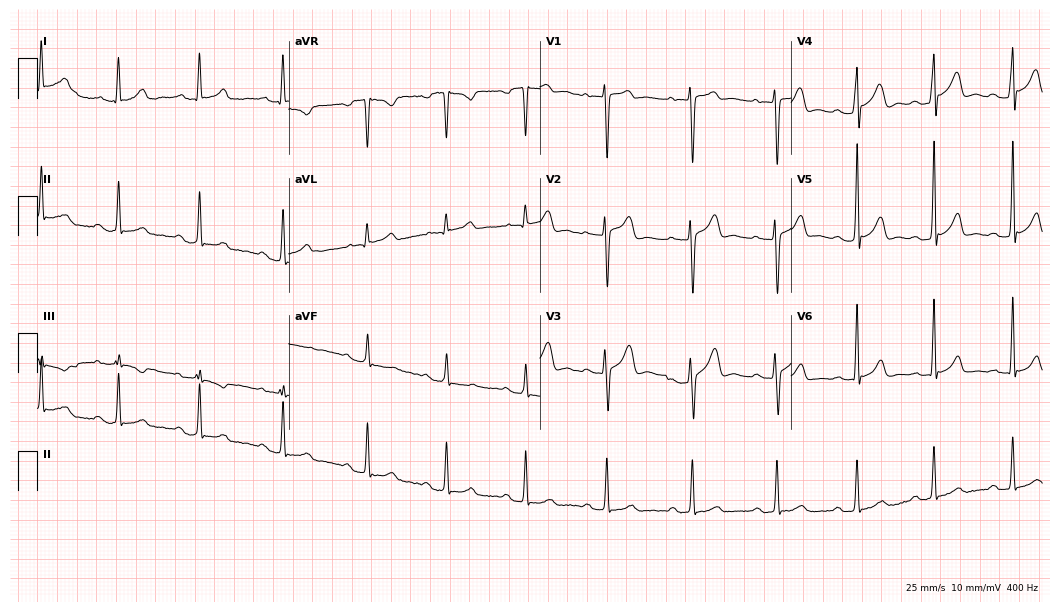
ECG (10.2-second recording at 400 Hz) — a male patient, 33 years old. Screened for six findings — first-degree AV block, right bundle branch block (RBBB), left bundle branch block (LBBB), sinus bradycardia, atrial fibrillation (AF), sinus tachycardia — none is recorded.